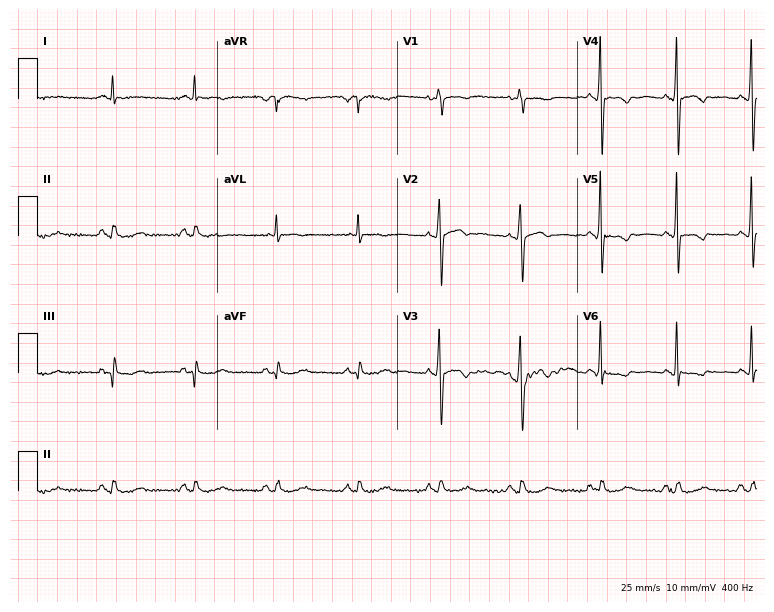
12-lead ECG from a 69-year-old male (7.3-second recording at 400 Hz). No first-degree AV block, right bundle branch block (RBBB), left bundle branch block (LBBB), sinus bradycardia, atrial fibrillation (AF) or sinus tachycardia recorded for this tracing.